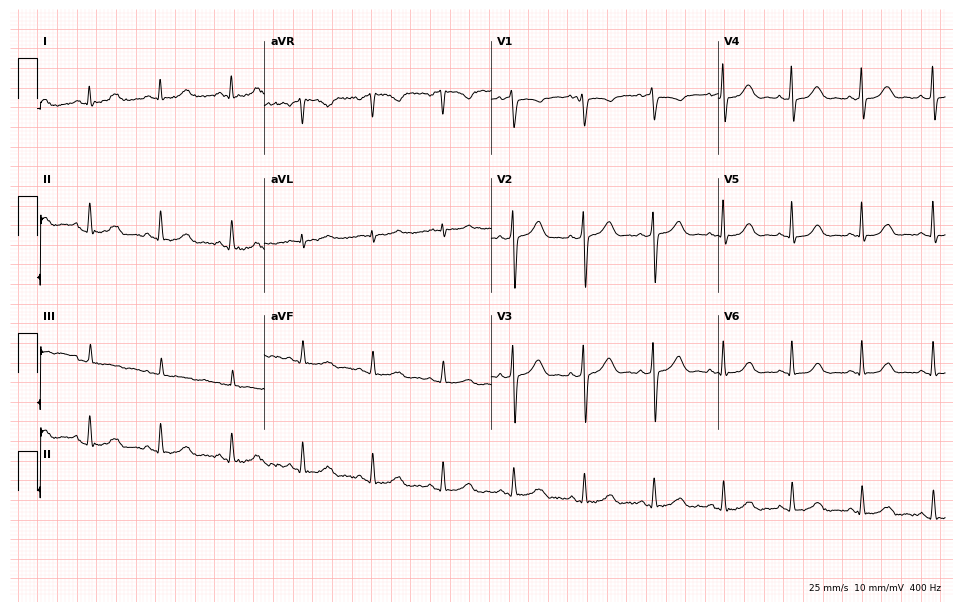
Resting 12-lead electrocardiogram (9.3-second recording at 400 Hz). Patient: a 55-year-old male. Read as a normal ECG.